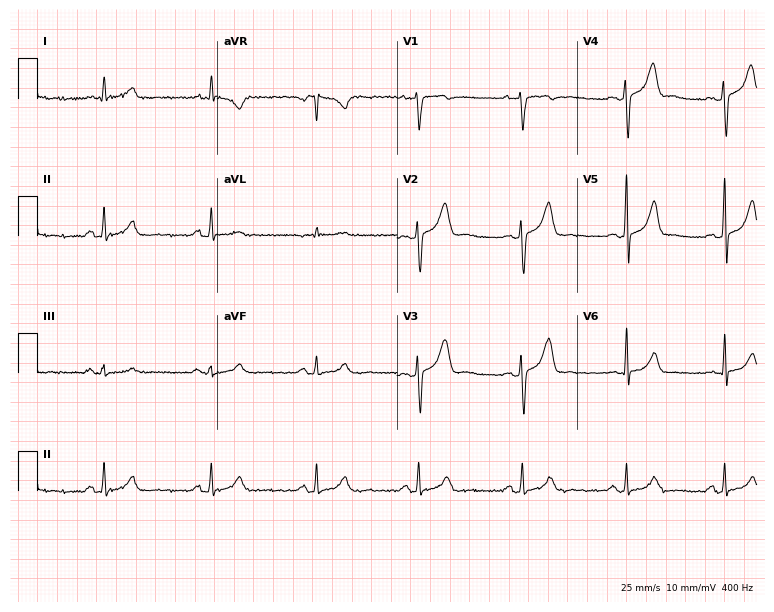
12-lead ECG from a male, 51 years old. No first-degree AV block, right bundle branch block, left bundle branch block, sinus bradycardia, atrial fibrillation or sinus tachycardia recorded for this tracing.